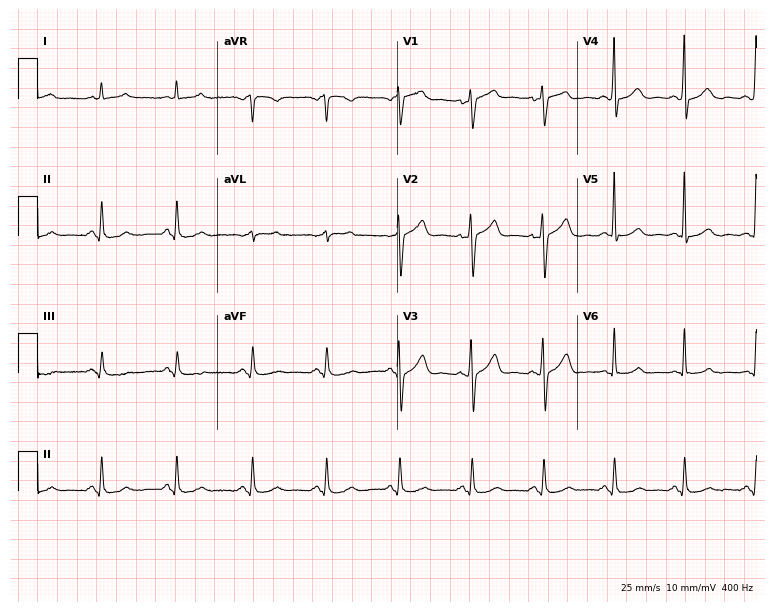
12-lead ECG from a male, 62 years old. Recorded interpretation: within normal limits.